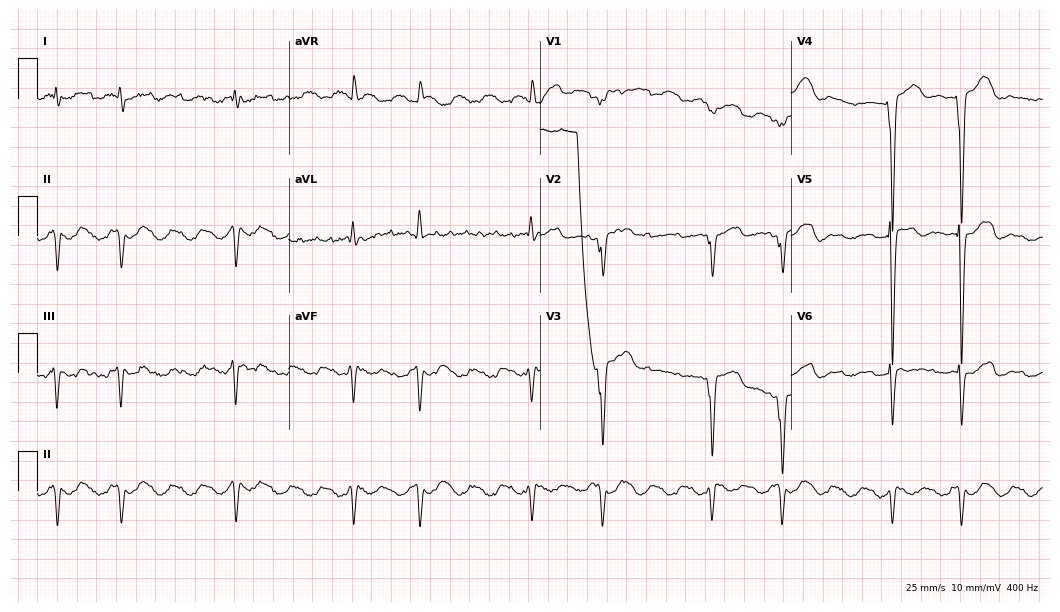
12-lead ECG from a 53-year-old male patient. Screened for six findings — first-degree AV block, right bundle branch block (RBBB), left bundle branch block (LBBB), sinus bradycardia, atrial fibrillation (AF), sinus tachycardia — none is recorded. Only these six findings were labelled.